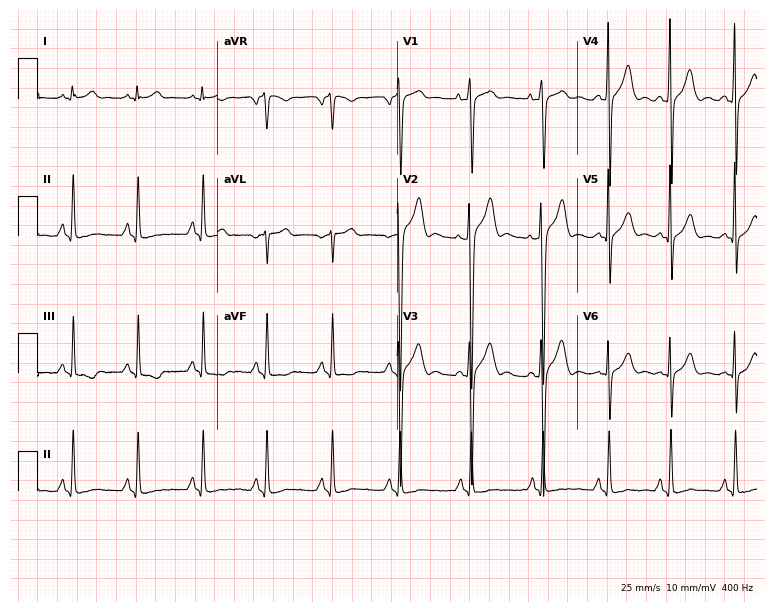
Electrocardiogram, a 20-year-old male patient. Of the six screened findings (first-degree AV block, right bundle branch block, left bundle branch block, sinus bradycardia, atrial fibrillation, sinus tachycardia), none is recorded.